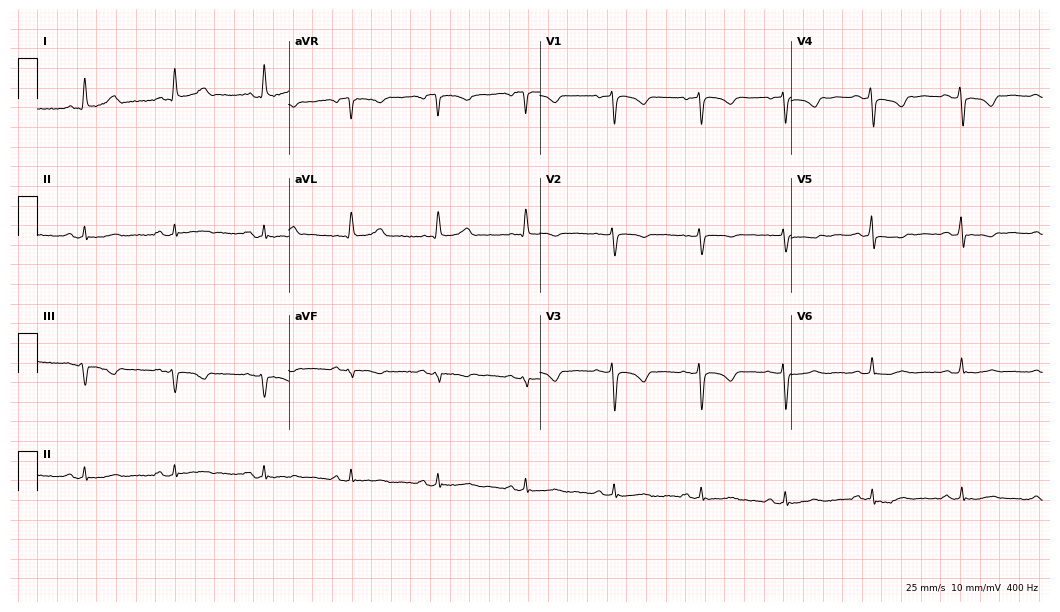
ECG (10.2-second recording at 400 Hz) — a female, 50 years old. Labelled as a normal ECG.